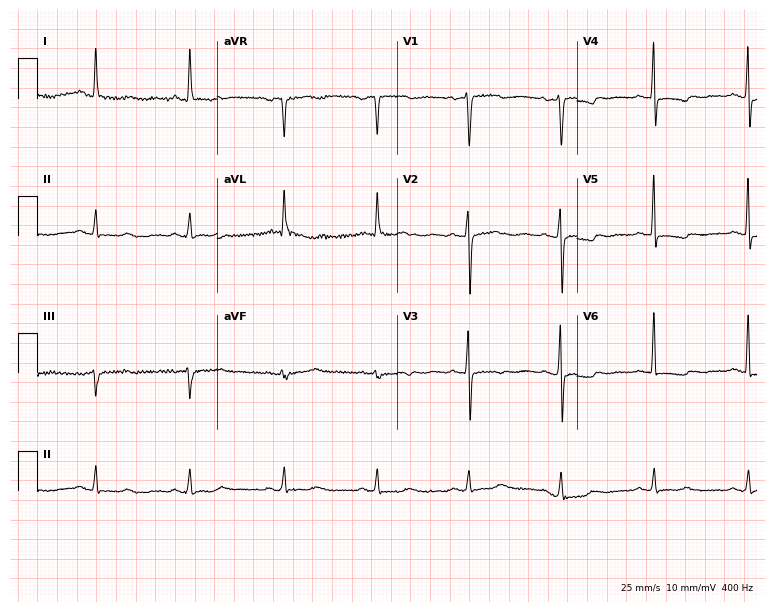
ECG (7.3-second recording at 400 Hz) — a female patient, 67 years old. Screened for six findings — first-degree AV block, right bundle branch block, left bundle branch block, sinus bradycardia, atrial fibrillation, sinus tachycardia — none is recorded. Other findings, if any, are not listed.